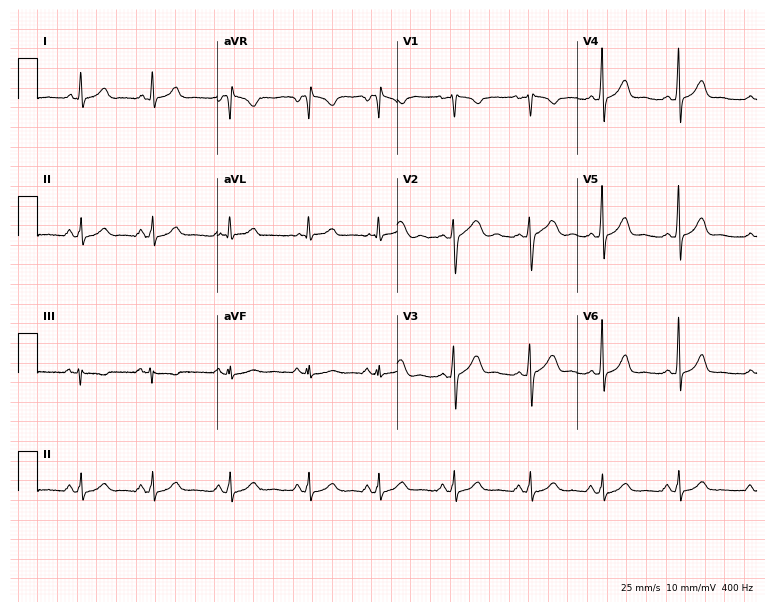
12-lead ECG from a 33-year-old woman. Labelled as a normal ECG.